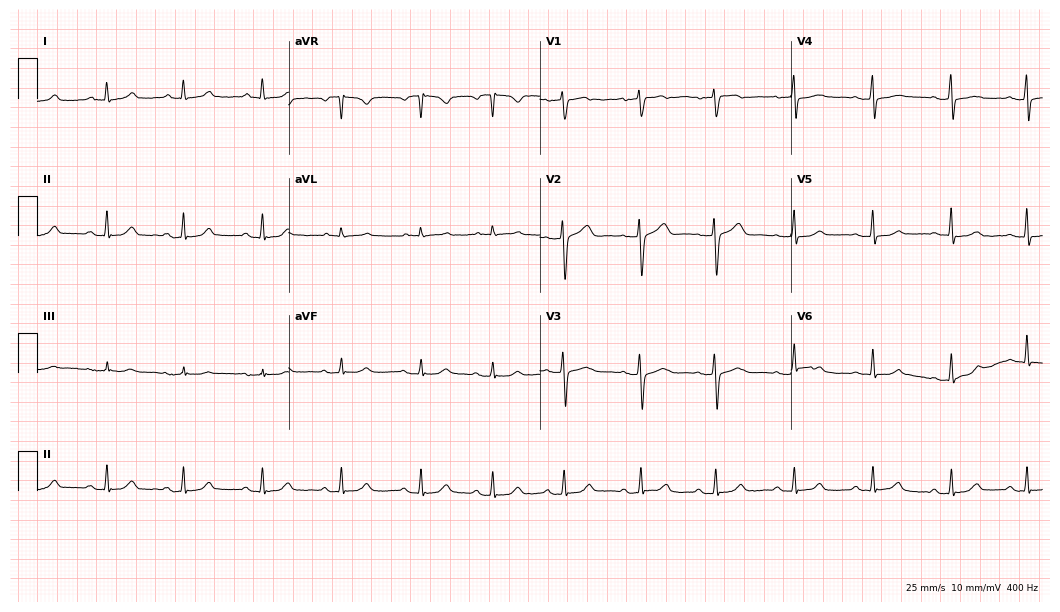
ECG (10.2-second recording at 400 Hz) — a woman, 50 years old. Labelled as a normal ECG.